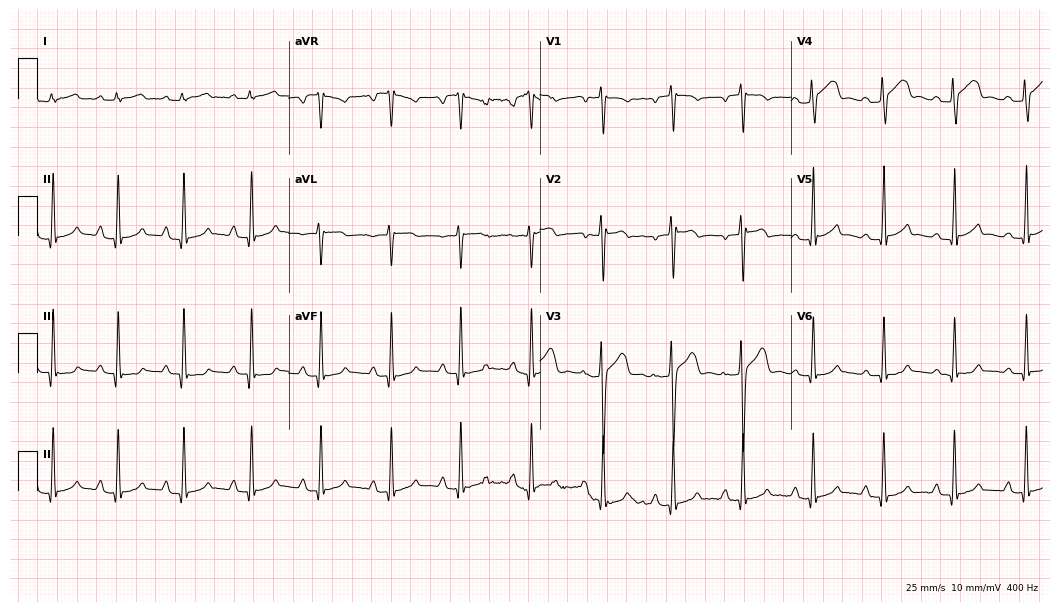
ECG (10.2-second recording at 400 Hz) — a male, 25 years old. Labelled as a normal ECG.